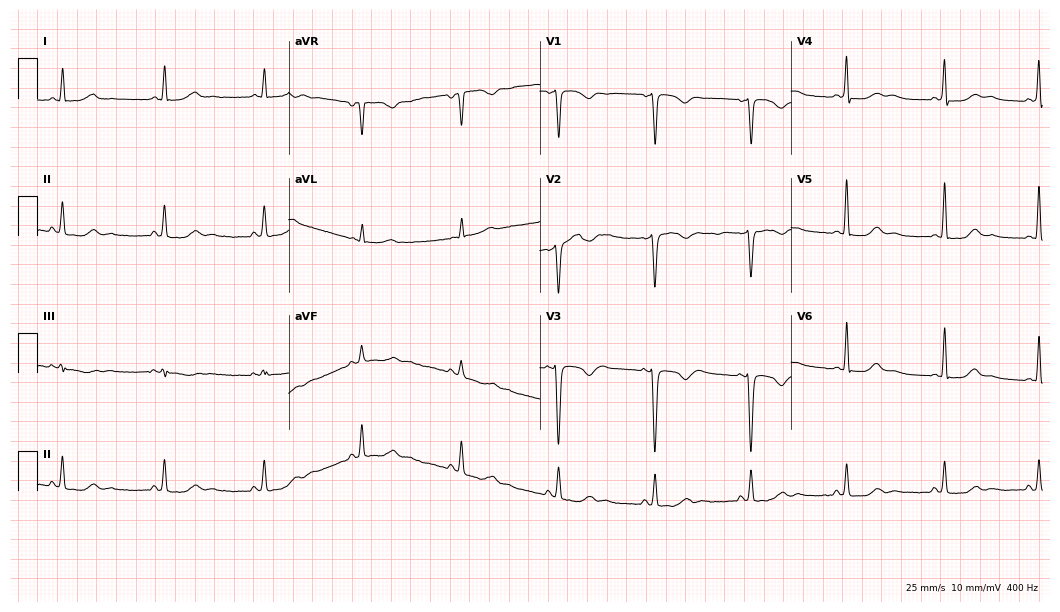
Resting 12-lead electrocardiogram (10.2-second recording at 400 Hz). Patient: a woman, 46 years old. None of these six findings is recorded: first-degree AV block, right bundle branch block, left bundle branch block, sinus bradycardia, atrial fibrillation, sinus tachycardia.